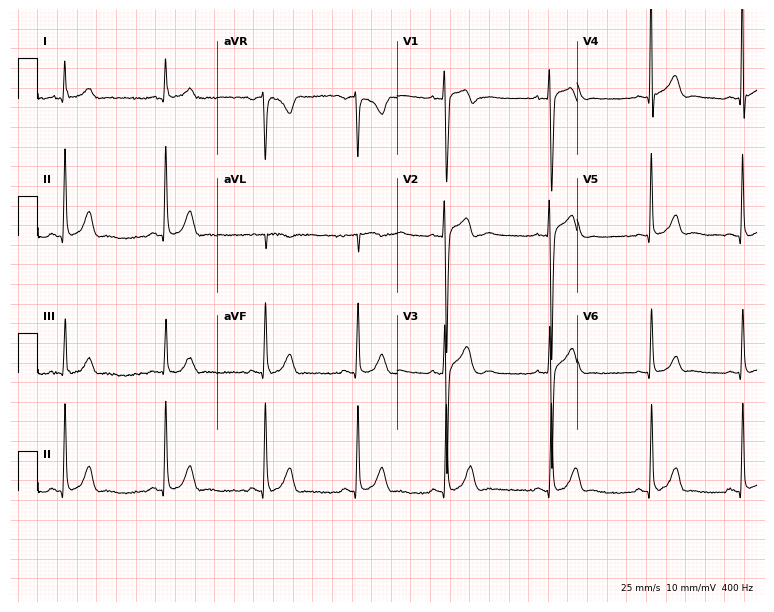
Electrocardiogram, a 20-year-old male patient. Of the six screened findings (first-degree AV block, right bundle branch block, left bundle branch block, sinus bradycardia, atrial fibrillation, sinus tachycardia), none is recorded. Findings outside these six are not listed.